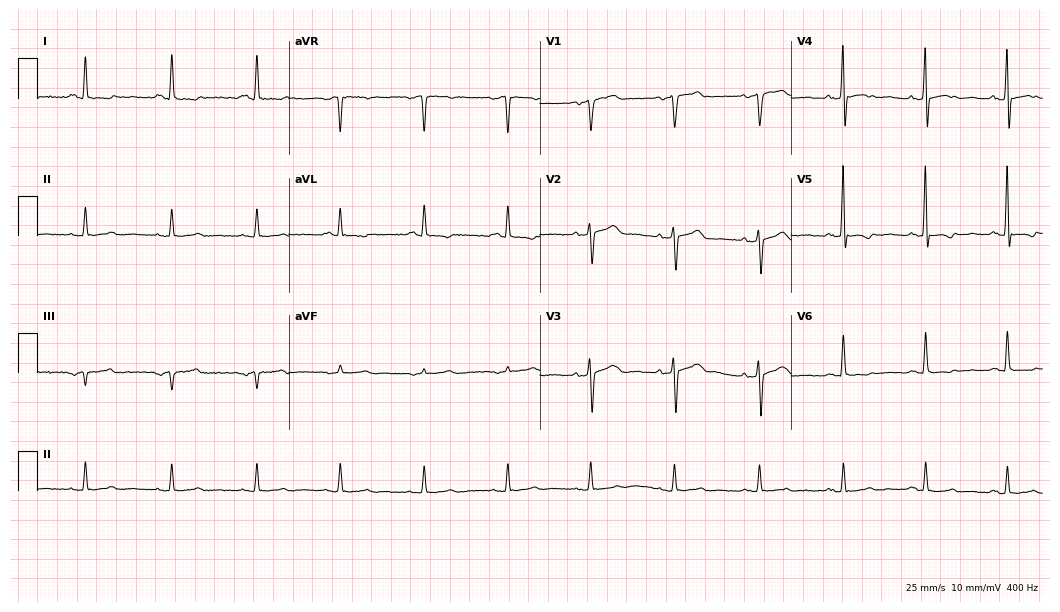
12-lead ECG from a woman, 58 years old. Screened for six findings — first-degree AV block, right bundle branch block, left bundle branch block, sinus bradycardia, atrial fibrillation, sinus tachycardia — none is recorded. Other findings, if any, are not listed.